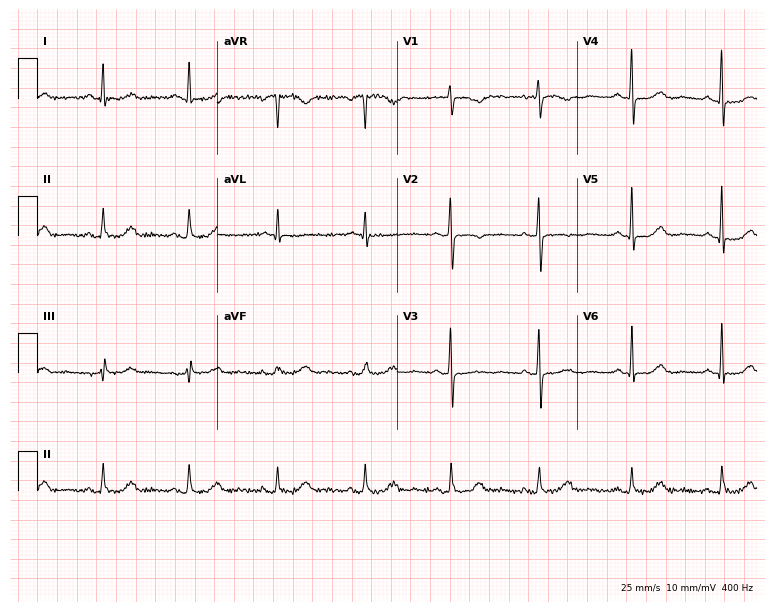
12-lead ECG from a 61-year-old woman. Recorded interpretation: within normal limits.